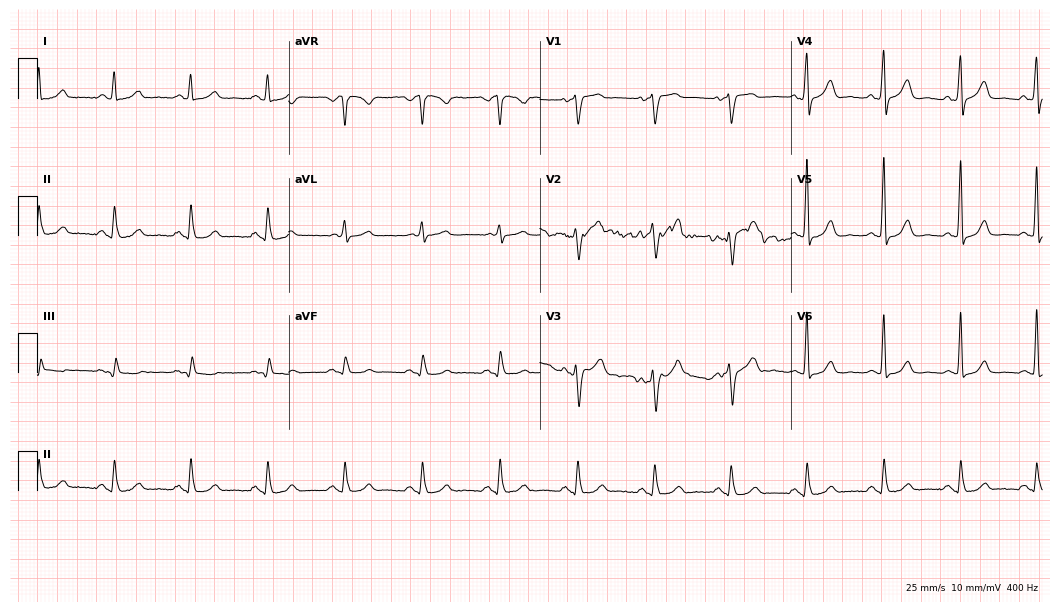
Resting 12-lead electrocardiogram. Patient: a 50-year-old male. Read as a normal ECG.